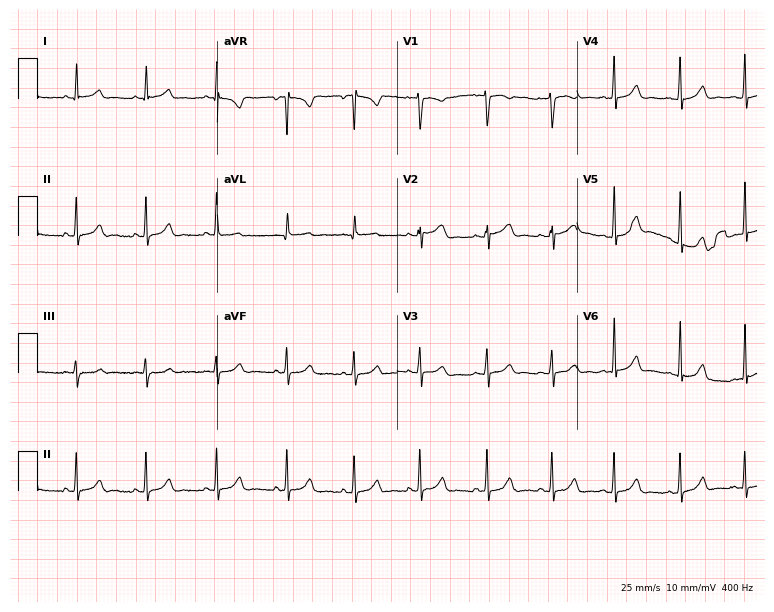
Resting 12-lead electrocardiogram. Patient: a 45-year-old female. Read as a normal ECG.